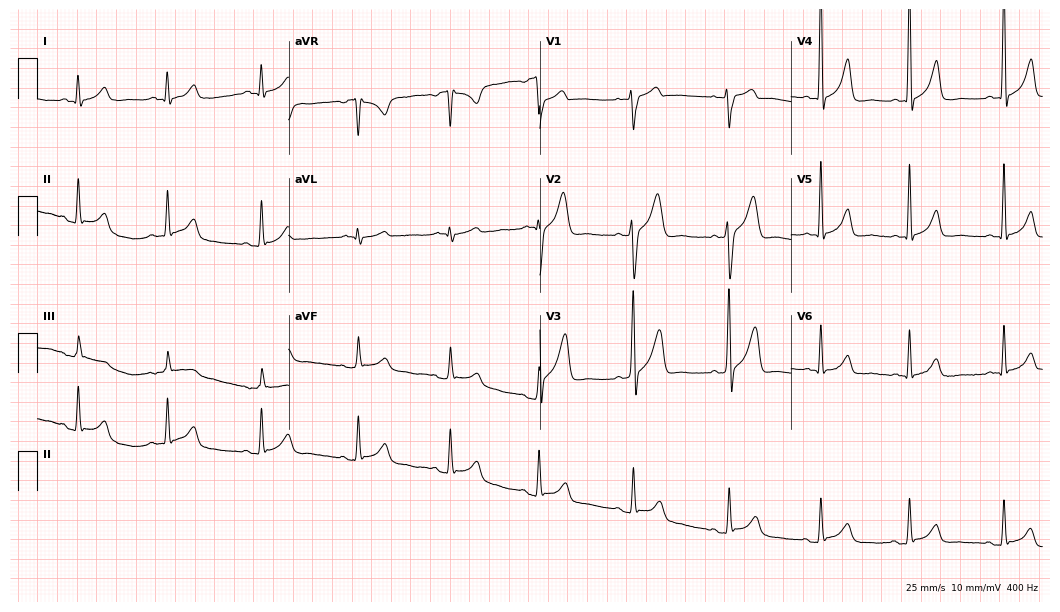
12-lead ECG from a 30-year-old male patient. Labelled as a normal ECG.